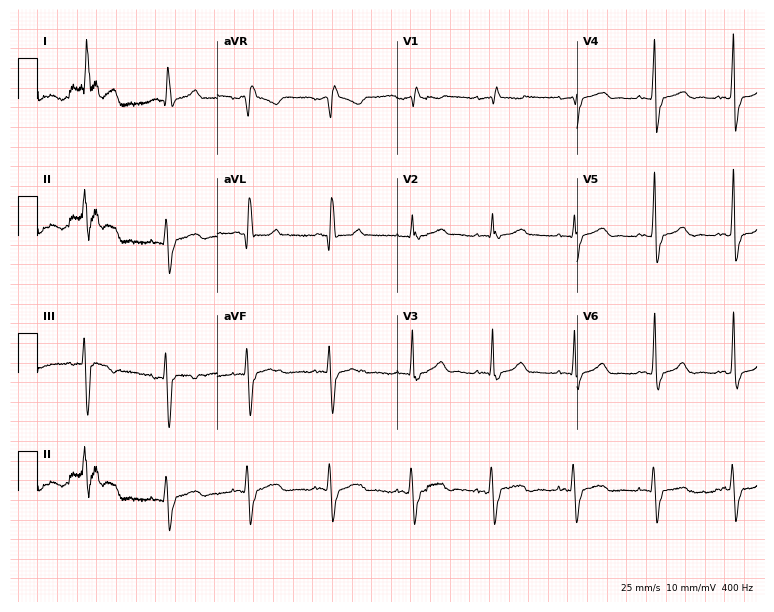
12-lead ECG from a 58-year-old woman (7.3-second recording at 400 Hz). No first-degree AV block, right bundle branch block, left bundle branch block, sinus bradycardia, atrial fibrillation or sinus tachycardia recorded for this tracing.